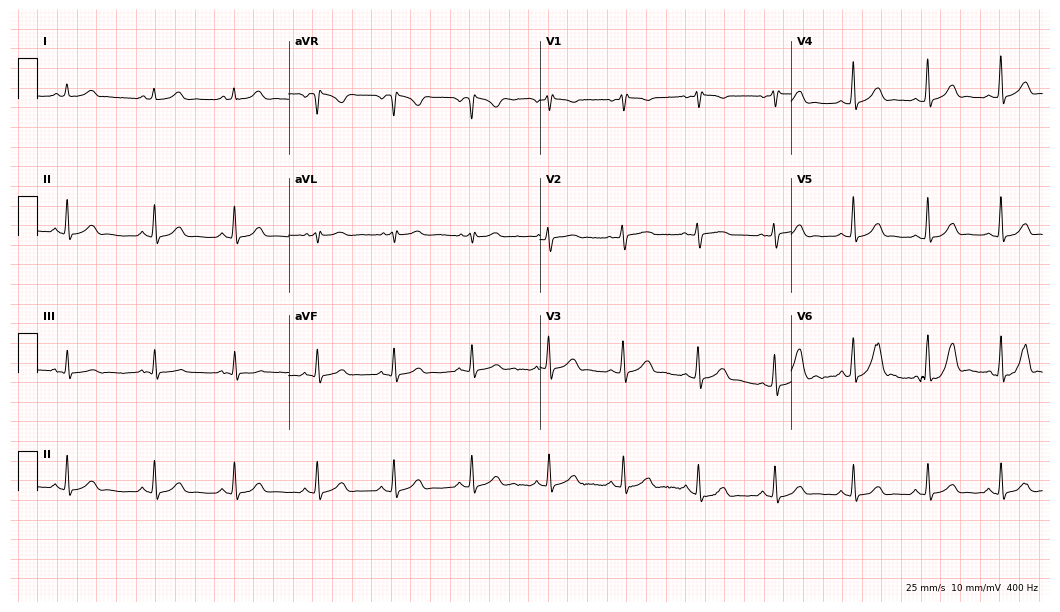
Standard 12-lead ECG recorded from a female patient, 30 years old (10.2-second recording at 400 Hz). Read as a normal ECG.